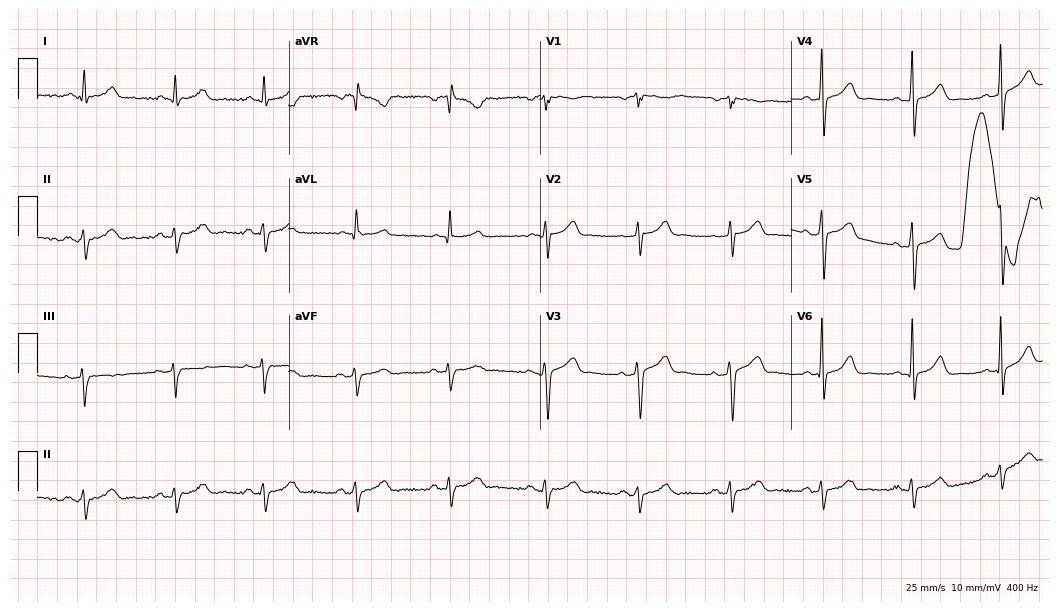
12-lead ECG from a male, 60 years old. Screened for six findings — first-degree AV block, right bundle branch block, left bundle branch block, sinus bradycardia, atrial fibrillation, sinus tachycardia — none is recorded.